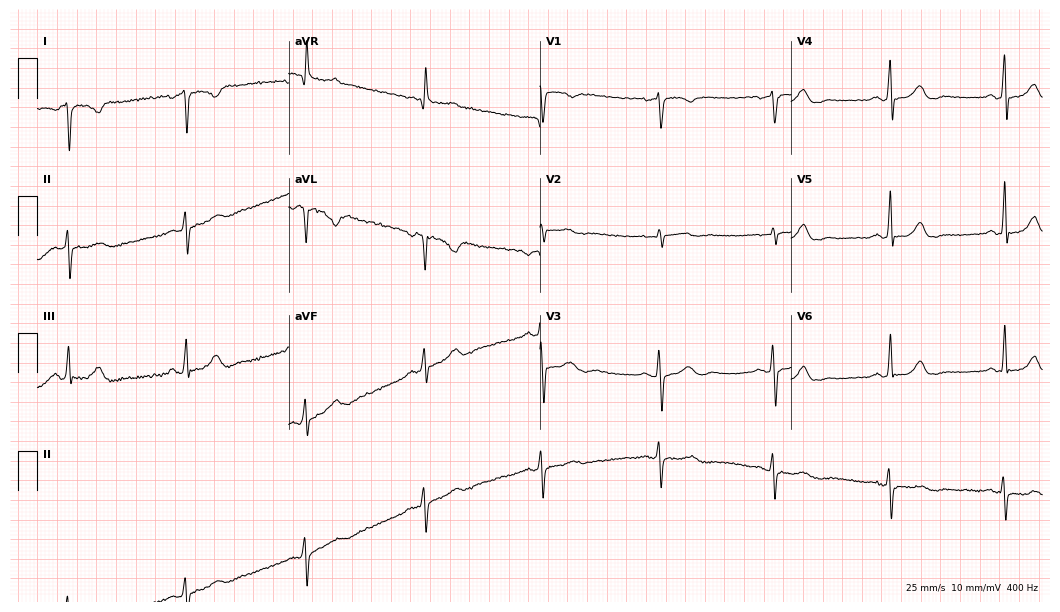
12-lead ECG from a 64-year-old female patient. Screened for six findings — first-degree AV block, right bundle branch block, left bundle branch block, sinus bradycardia, atrial fibrillation, sinus tachycardia — none is recorded.